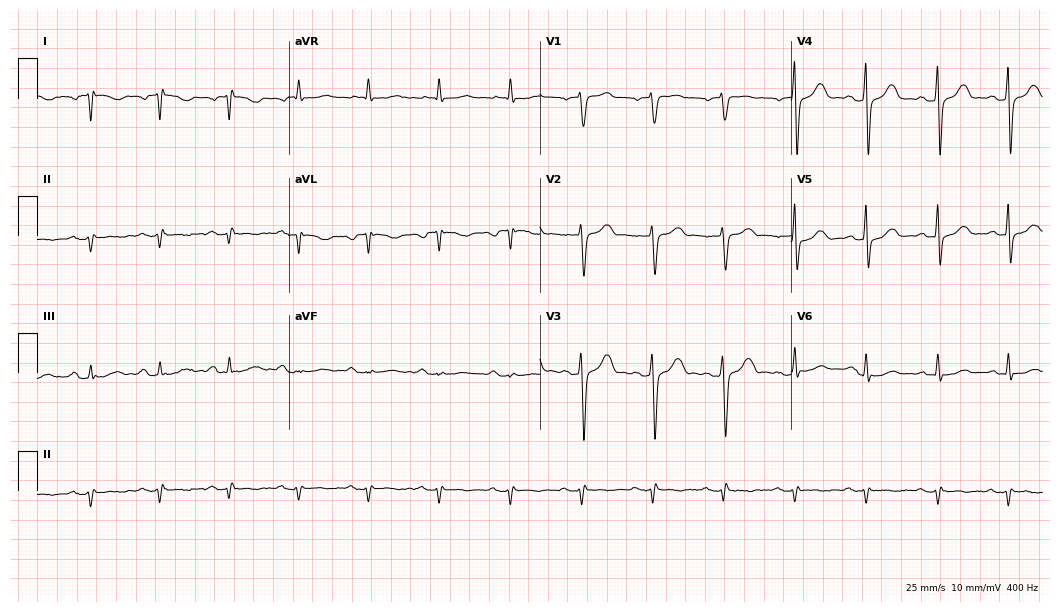
Resting 12-lead electrocardiogram. Patient: a 62-year-old male. None of these six findings is recorded: first-degree AV block, right bundle branch block (RBBB), left bundle branch block (LBBB), sinus bradycardia, atrial fibrillation (AF), sinus tachycardia. Findings outside these six are not listed.